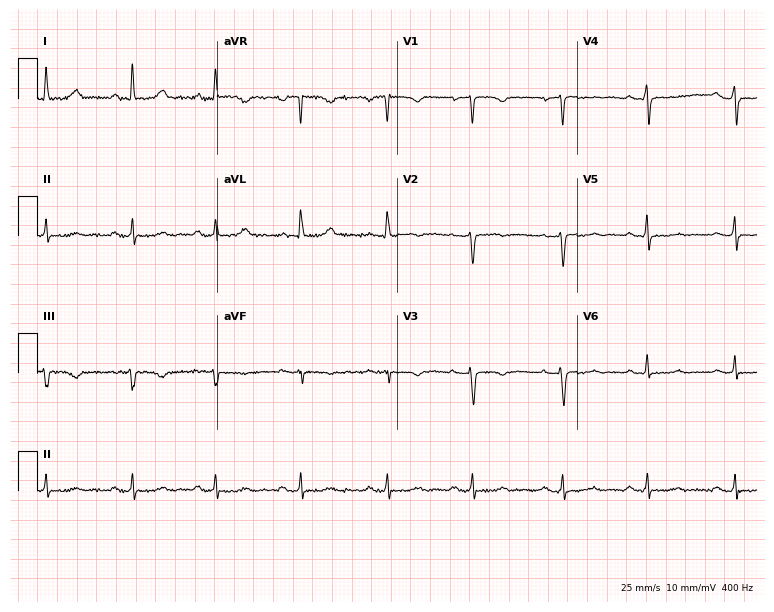
Electrocardiogram, a 54-year-old woman. Of the six screened findings (first-degree AV block, right bundle branch block, left bundle branch block, sinus bradycardia, atrial fibrillation, sinus tachycardia), none is recorded.